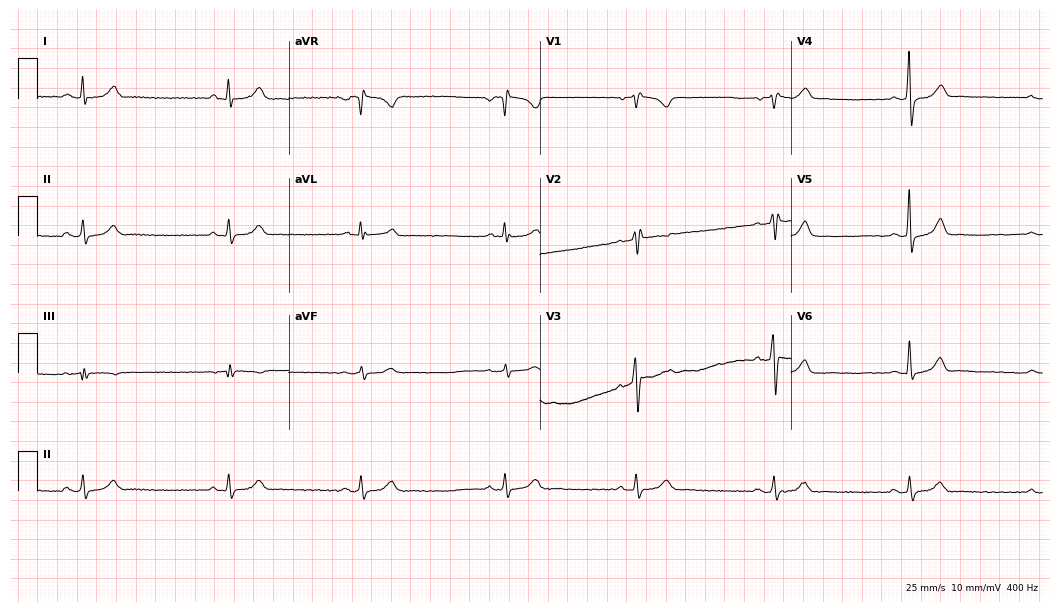
Standard 12-lead ECG recorded from a male, 39 years old. The tracing shows sinus bradycardia (a sinus rate of 50 beats per minute or less).